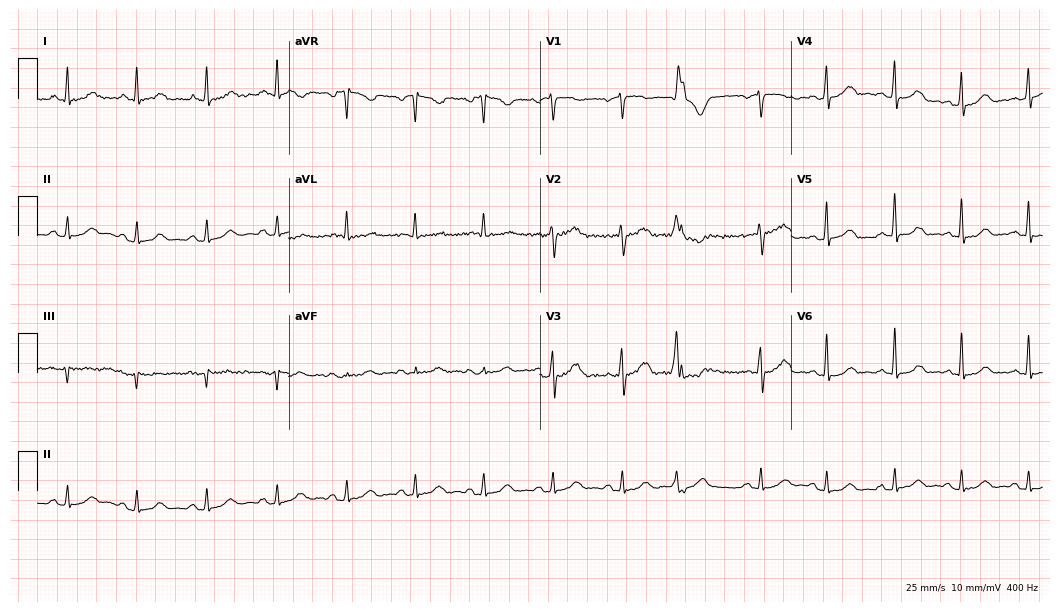
Electrocardiogram, a woman, 57 years old. Of the six screened findings (first-degree AV block, right bundle branch block, left bundle branch block, sinus bradycardia, atrial fibrillation, sinus tachycardia), none is recorded. Only these six findings were labelled.